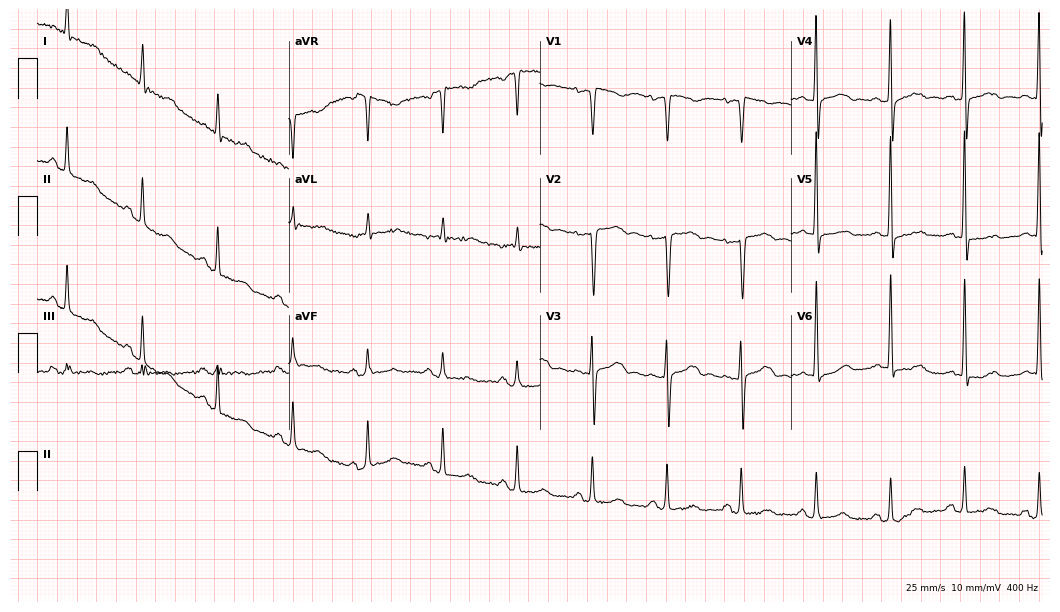
Resting 12-lead electrocardiogram (10.2-second recording at 400 Hz). Patient: a female, 86 years old. Read as a normal ECG.